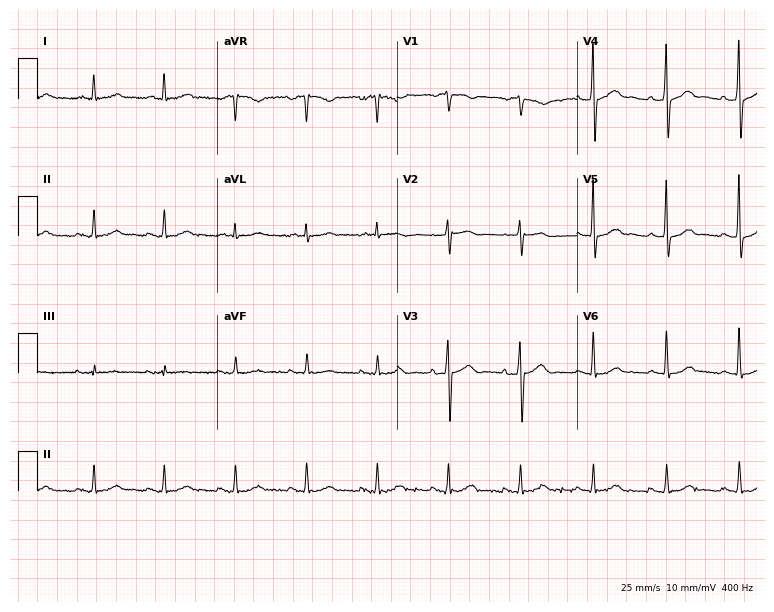
12-lead ECG (7.3-second recording at 400 Hz) from a 71-year-old male patient. Labelled as a normal ECG.